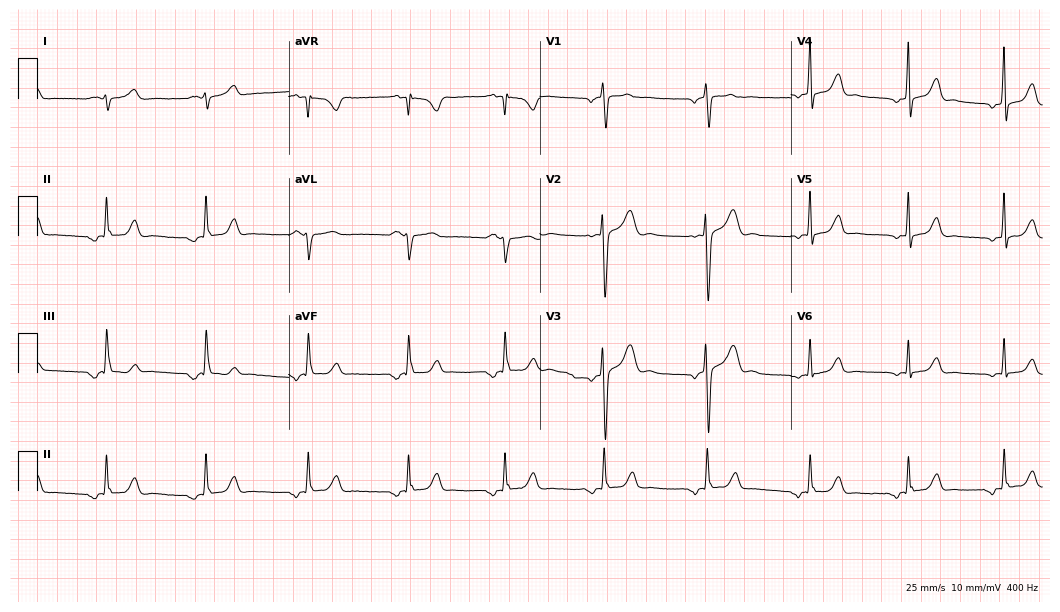
Resting 12-lead electrocardiogram. Patient: a female, 19 years old. None of these six findings is recorded: first-degree AV block, right bundle branch block (RBBB), left bundle branch block (LBBB), sinus bradycardia, atrial fibrillation (AF), sinus tachycardia.